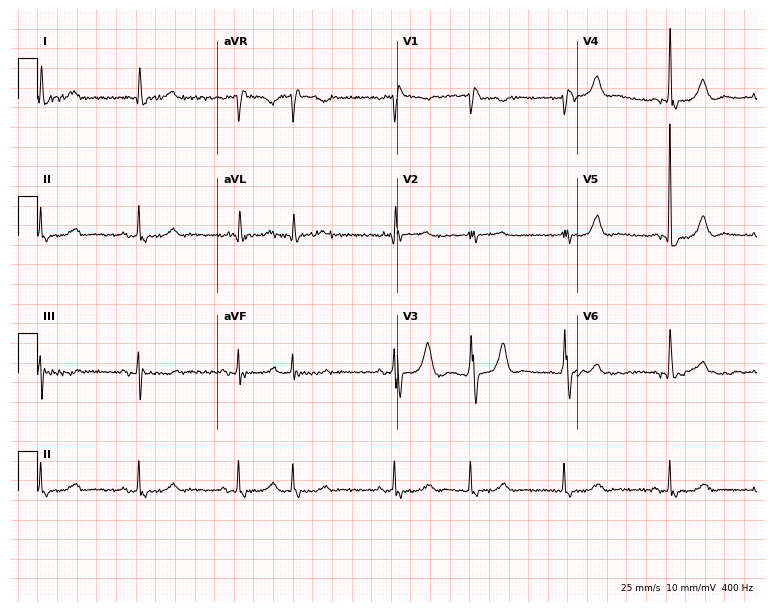
Electrocardiogram, a 78-year-old woman. Of the six screened findings (first-degree AV block, right bundle branch block (RBBB), left bundle branch block (LBBB), sinus bradycardia, atrial fibrillation (AF), sinus tachycardia), none is recorded. Findings outside these six are not listed.